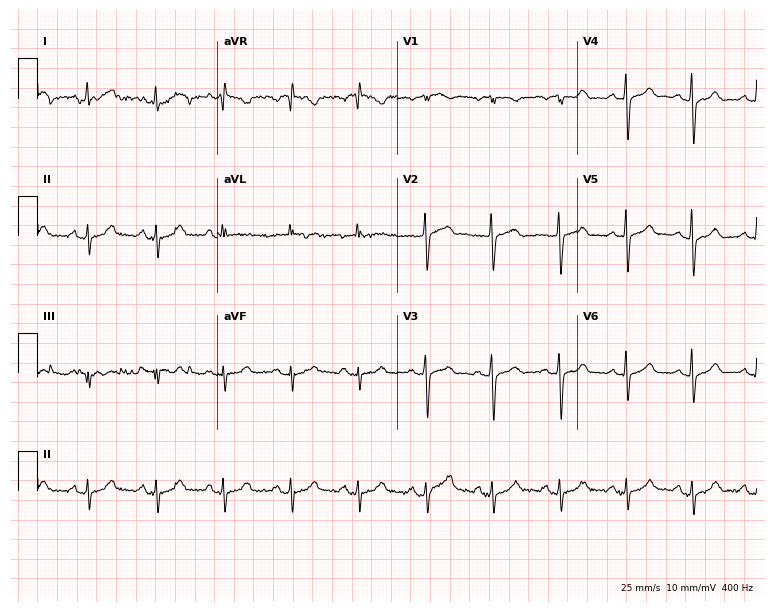
12-lead ECG (7.3-second recording at 400 Hz) from a 79-year-old female patient. Screened for six findings — first-degree AV block, right bundle branch block (RBBB), left bundle branch block (LBBB), sinus bradycardia, atrial fibrillation (AF), sinus tachycardia — none is recorded.